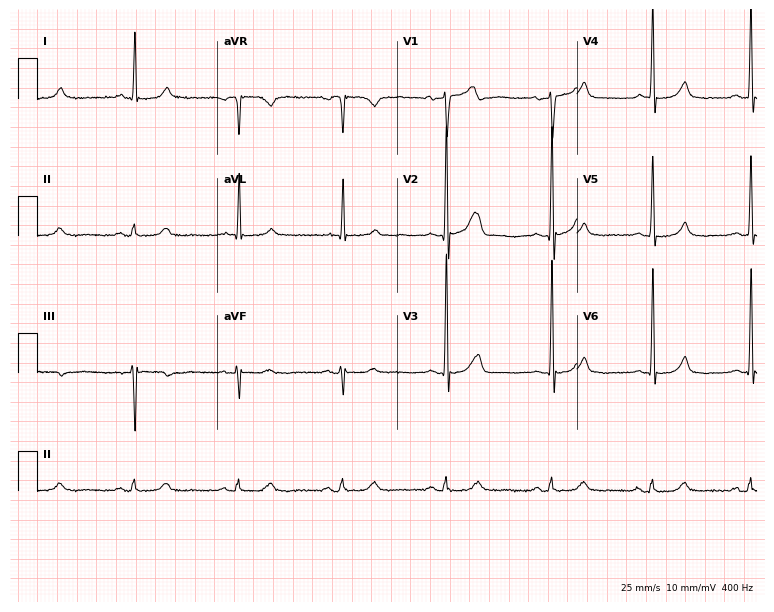
12-lead ECG from a male, 71 years old. Recorded interpretation: within normal limits.